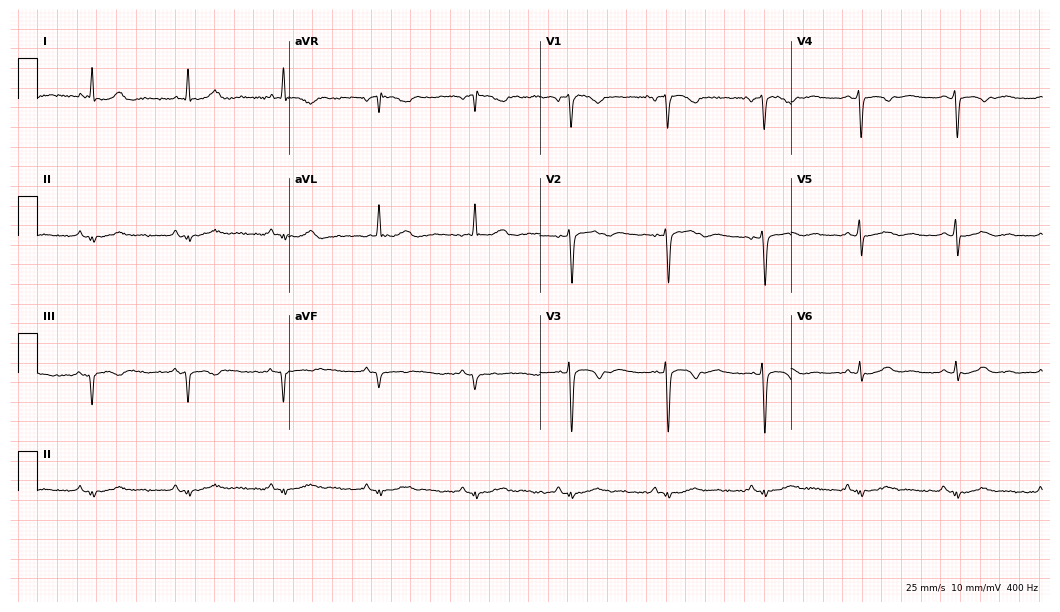
Electrocardiogram (10.2-second recording at 400 Hz), a 64-year-old man. Of the six screened findings (first-degree AV block, right bundle branch block, left bundle branch block, sinus bradycardia, atrial fibrillation, sinus tachycardia), none is recorded.